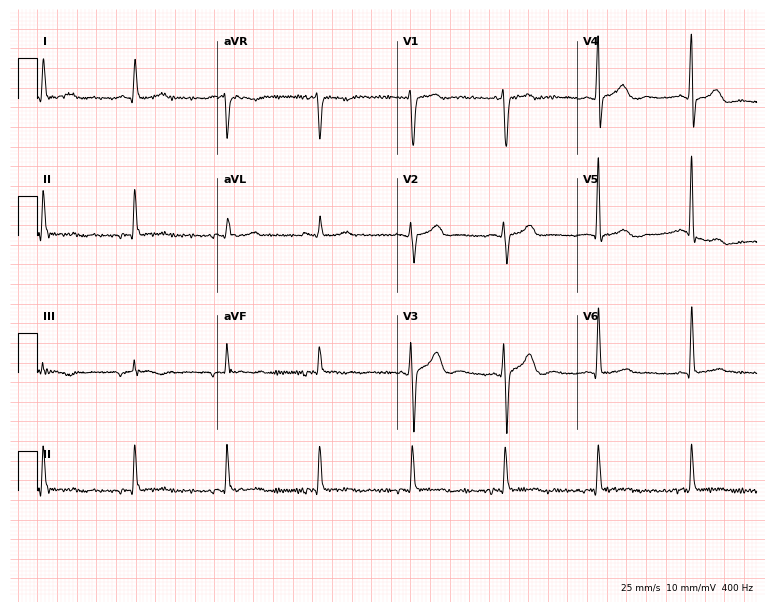
ECG (7.3-second recording at 400 Hz) — a male, 54 years old. Screened for six findings — first-degree AV block, right bundle branch block, left bundle branch block, sinus bradycardia, atrial fibrillation, sinus tachycardia — none is recorded. Findings outside these six are not listed.